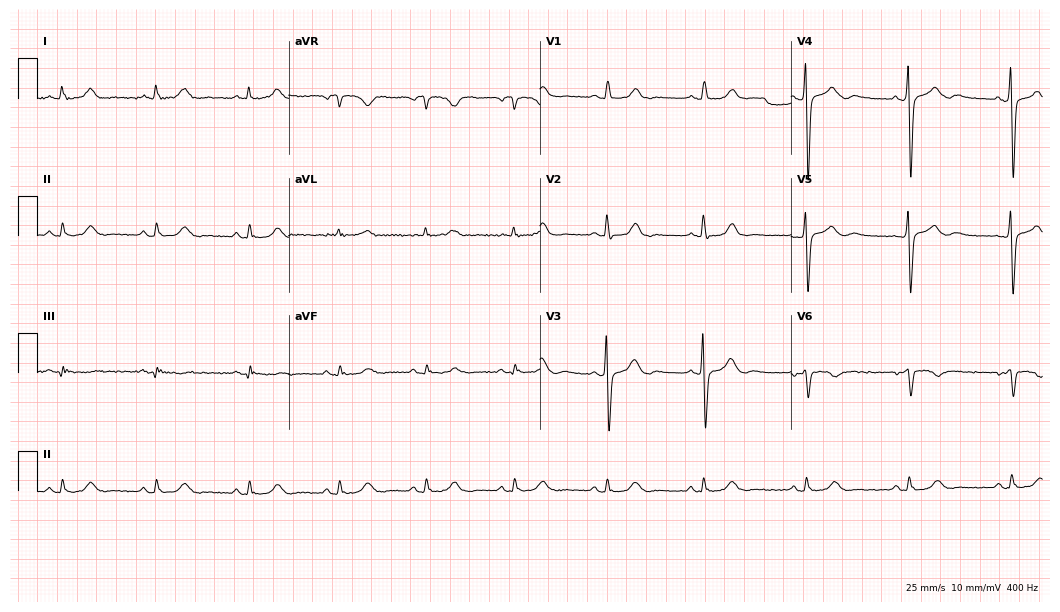
Standard 12-lead ECG recorded from a male patient, 47 years old (10.2-second recording at 400 Hz). None of these six findings is recorded: first-degree AV block, right bundle branch block, left bundle branch block, sinus bradycardia, atrial fibrillation, sinus tachycardia. Only these six findings were labelled.